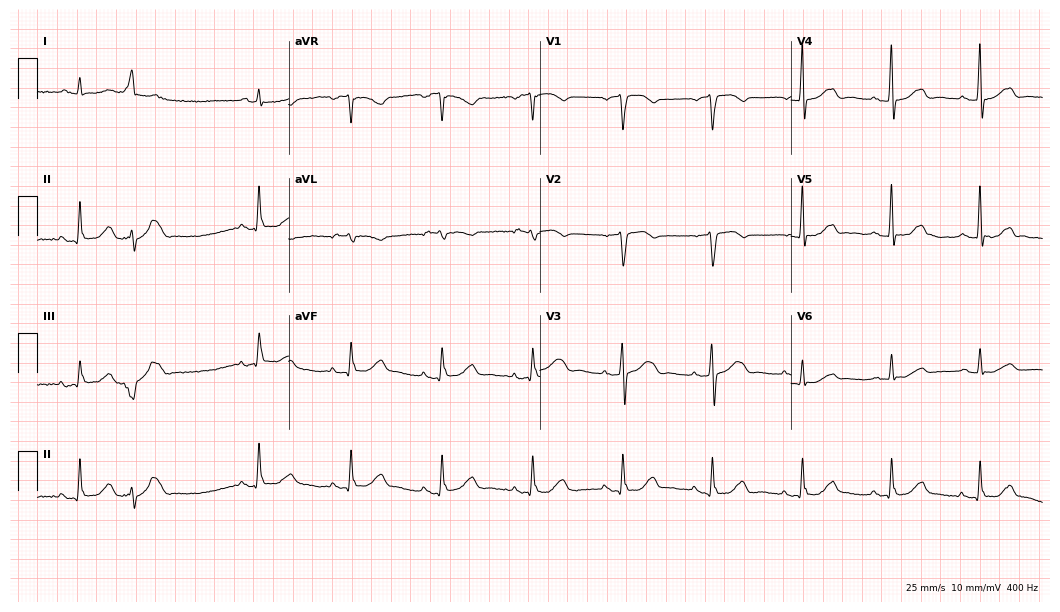
Resting 12-lead electrocardiogram. Patient: a woman, 81 years old. Read as a normal ECG.